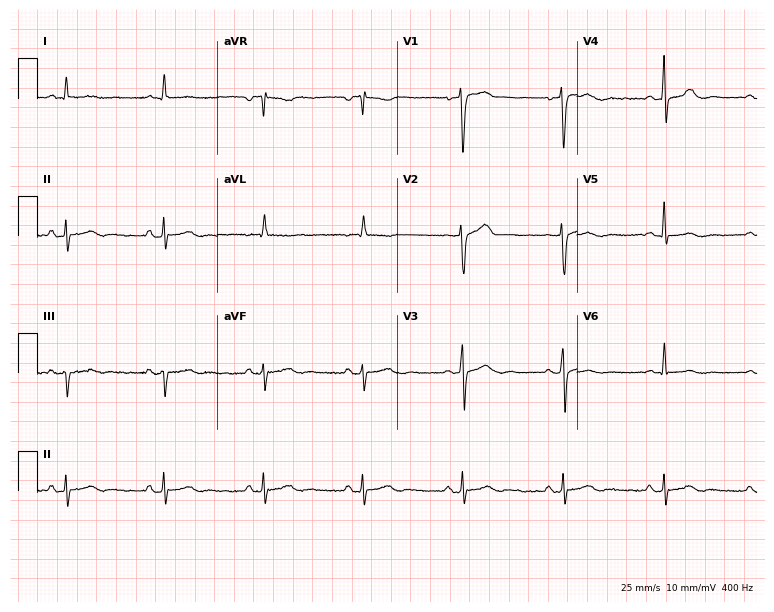
Resting 12-lead electrocardiogram (7.3-second recording at 400 Hz). Patient: a male, 72 years old. None of these six findings is recorded: first-degree AV block, right bundle branch block (RBBB), left bundle branch block (LBBB), sinus bradycardia, atrial fibrillation (AF), sinus tachycardia.